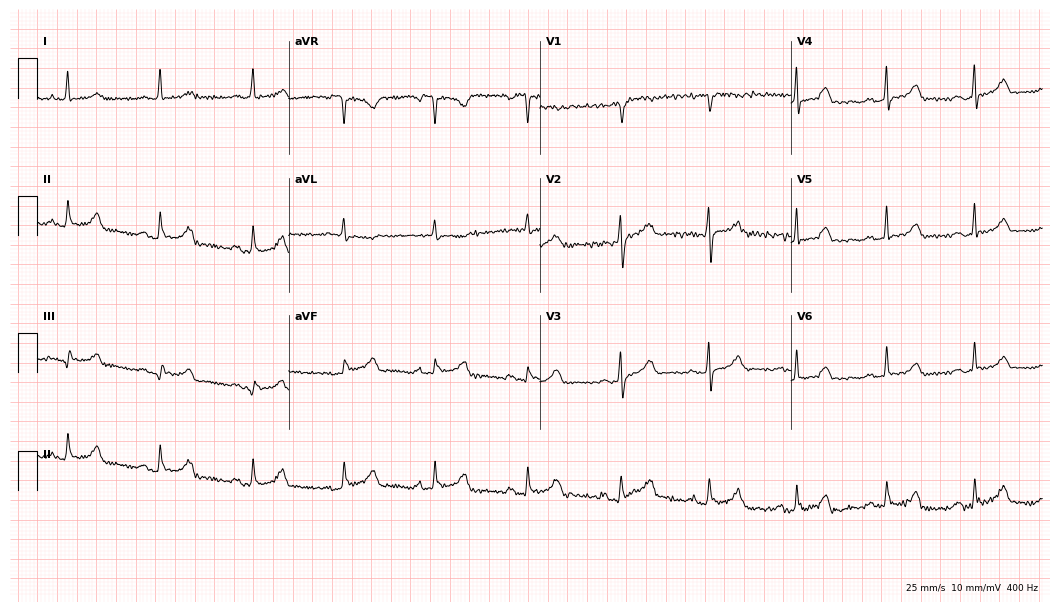
Standard 12-lead ECG recorded from a female, 57 years old (10.2-second recording at 400 Hz). None of these six findings is recorded: first-degree AV block, right bundle branch block, left bundle branch block, sinus bradycardia, atrial fibrillation, sinus tachycardia.